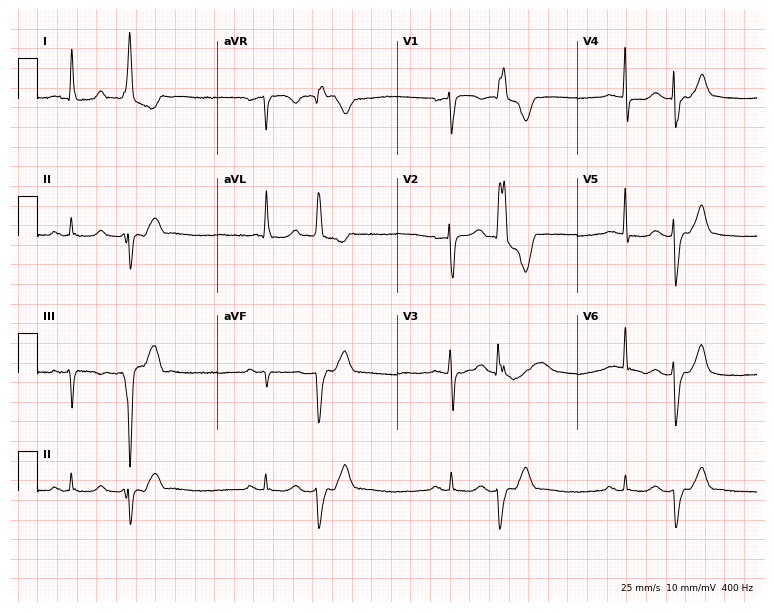
ECG — a female, 83 years old. Screened for six findings — first-degree AV block, right bundle branch block (RBBB), left bundle branch block (LBBB), sinus bradycardia, atrial fibrillation (AF), sinus tachycardia — none is recorded. Findings outside these six are not listed.